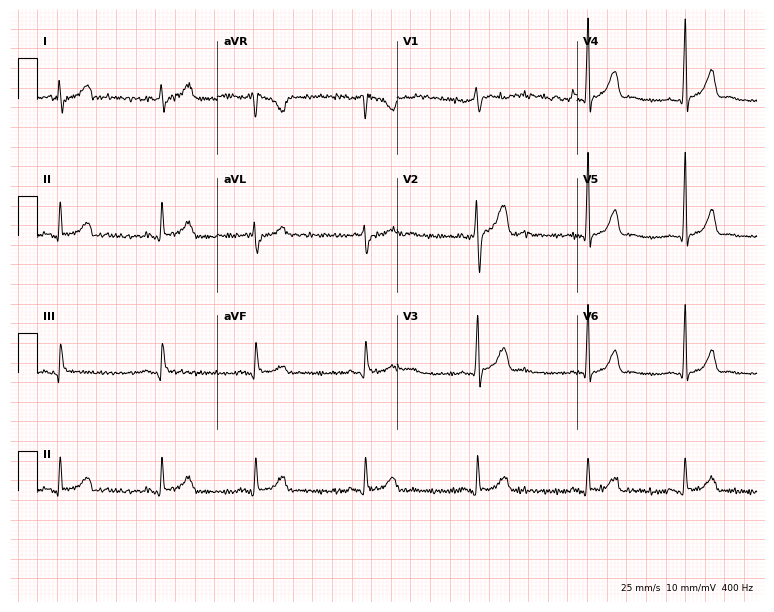
12-lead ECG from a 32-year-old male patient. Screened for six findings — first-degree AV block, right bundle branch block, left bundle branch block, sinus bradycardia, atrial fibrillation, sinus tachycardia — none is recorded. Only these six findings were labelled.